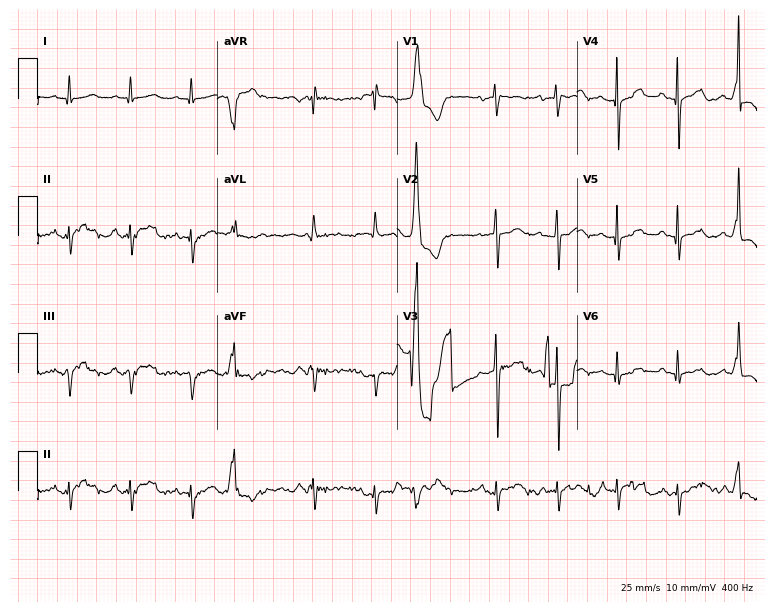
ECG — a male patient, 74 years old. Labelled as a normal ECG.